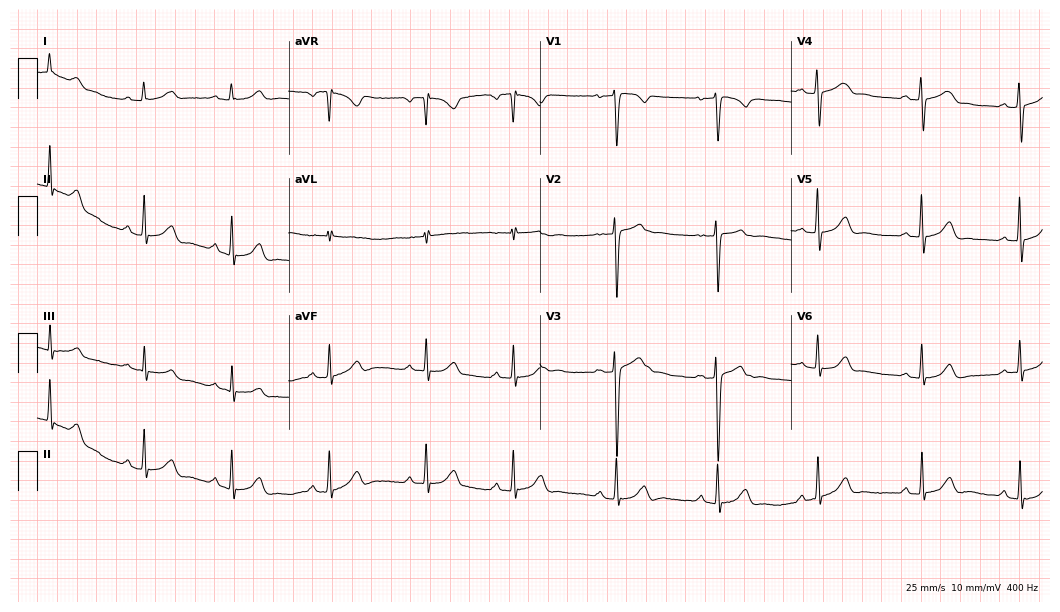
12-lead ECG from a 22-year-old woman (10.2-second recording at 400 Hz). Recorded interpretation: within normal limits.